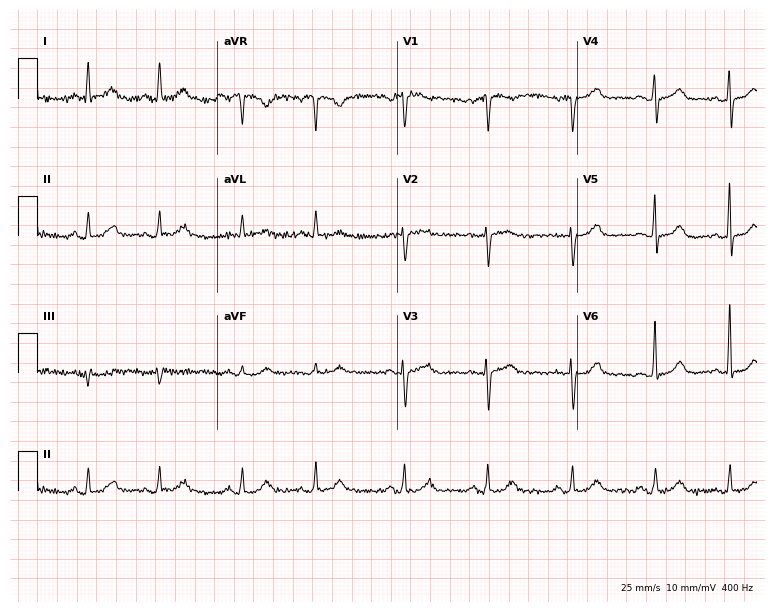
Standard 12-lead ECG recorded from a 74-year-old woman. Read as a normal ECG.